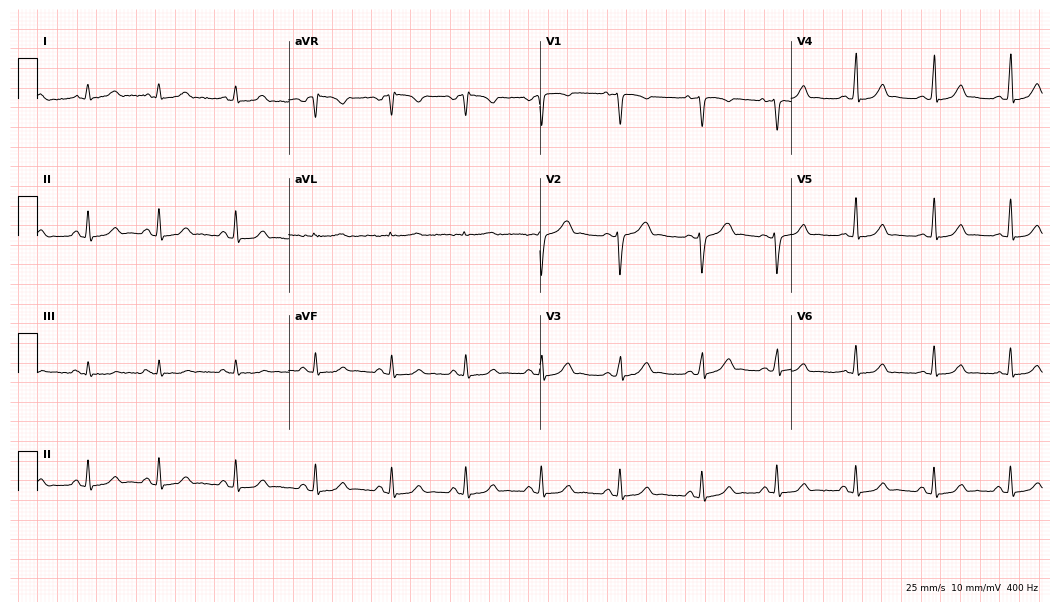
ECG (10.2-second recording at 400 Hz) — a 21-year-old female. Labelled as a normal ECG.